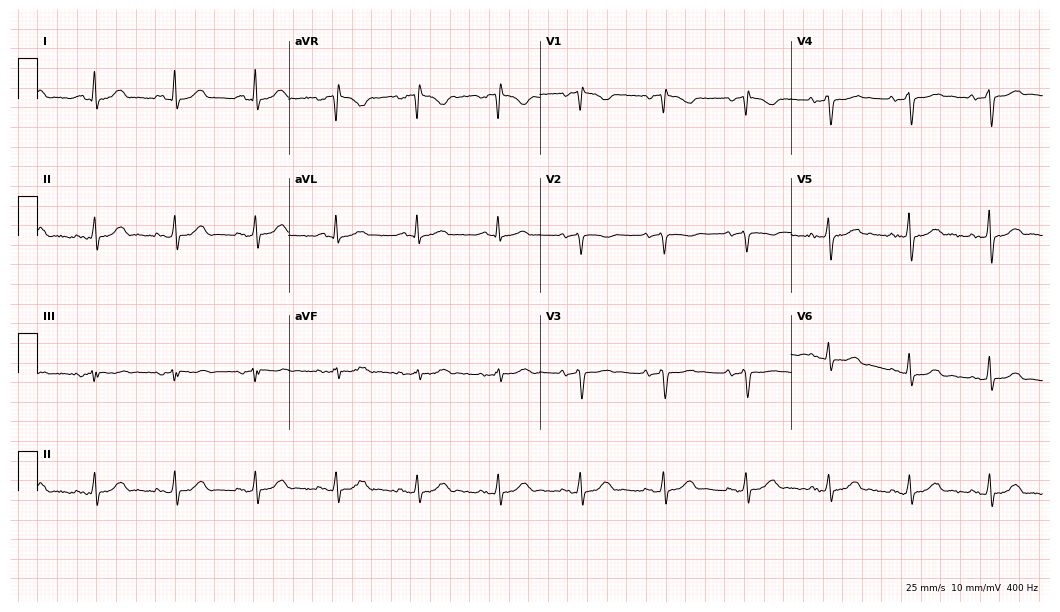
Electrocardiogram (10.2-second recording at 400 Hz), a female, 66 years old. Of the six screened findings (first-degree AV block, right bundle branch block, left bundle branch block, sinus bradycardia, atrial fibrillation, sinus tachycardia), none is recorded.